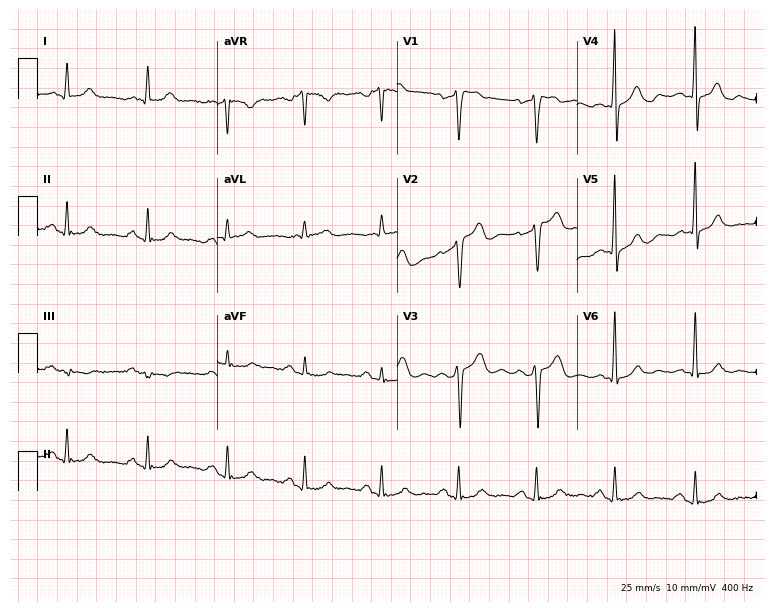
Standard 12-lead ECG recorded from a male patient, 66 years old (7.3-second recording at 400 Hz). None of these six findings is recorded: first-degree AV block, right bundle branch block, left bundle branch block, sinus bradycardia, atrial fibrillation, sinus tachycardia.